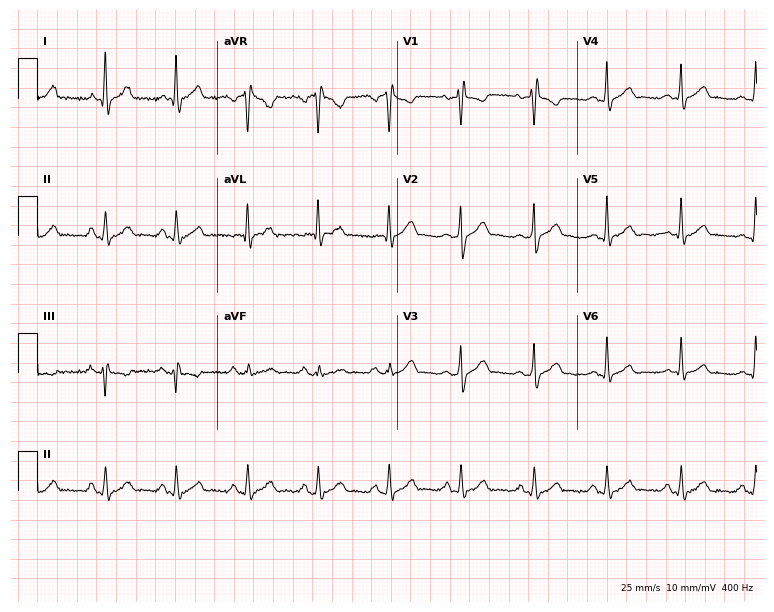
Electrocardiogram (7.3-second recording at 400 Hz), a 36-year-old man. Of the six screened findings (first-degree AV block, right bundle branch block (RBBB), left bundle branch block (LBBB), sinus bradycardia, atrial fibrillation (AF), sinus tachycardia), none is recorded. Only these six findings were labelled.